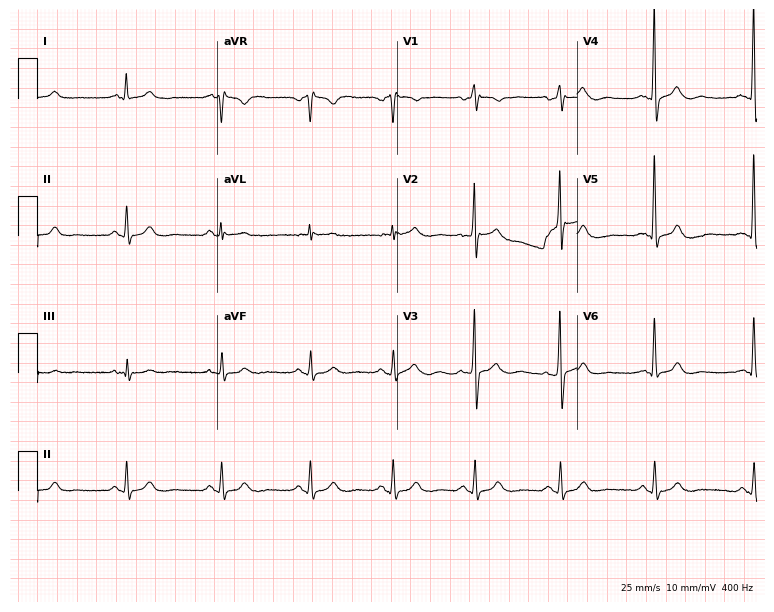
12-lead ECG from a man, 72 years old. Recorded interpretation: within normal limits.